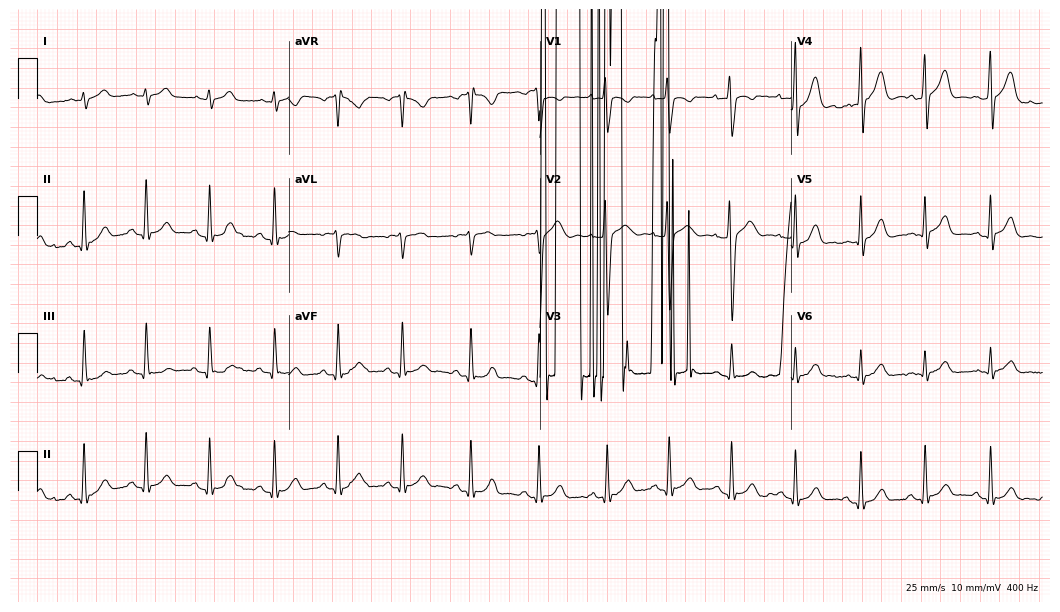
Resting 12-lead electrocardiogram. Patient: a man, 24 years old. None of these six findings is recorded: first-degree AV block, right bundle branch block (RBBB), left bundle branch block (LBBB), sinus bradycardia, atrial fibrillation (AF), sinus tachycardia. Other findings, if any, are not listed.